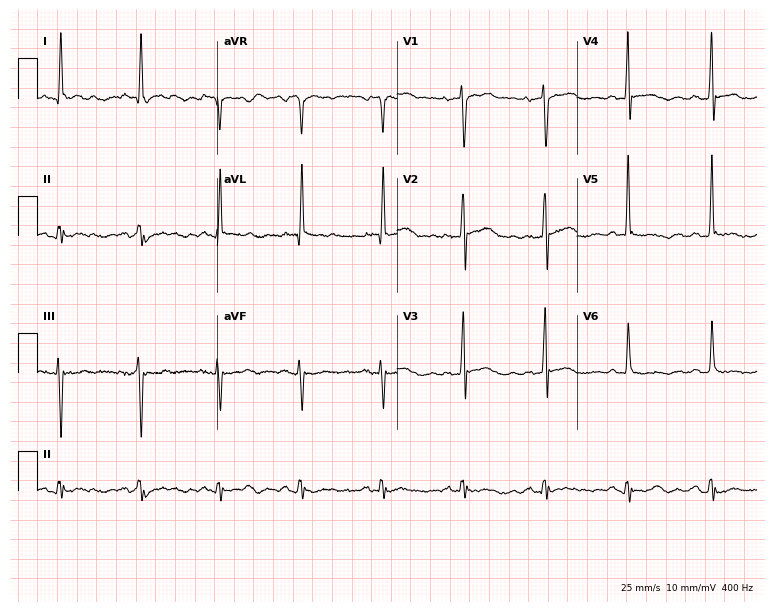
Electrocardiogram (7.3-second recording at 400 Hz), a 67-year-old male. Of the six screened findings (first-degree AV block, right bundle branch block, left bundle branch block, sinus bradycardia, atrial fibrillation, sinus tachycardia), none is recorded.